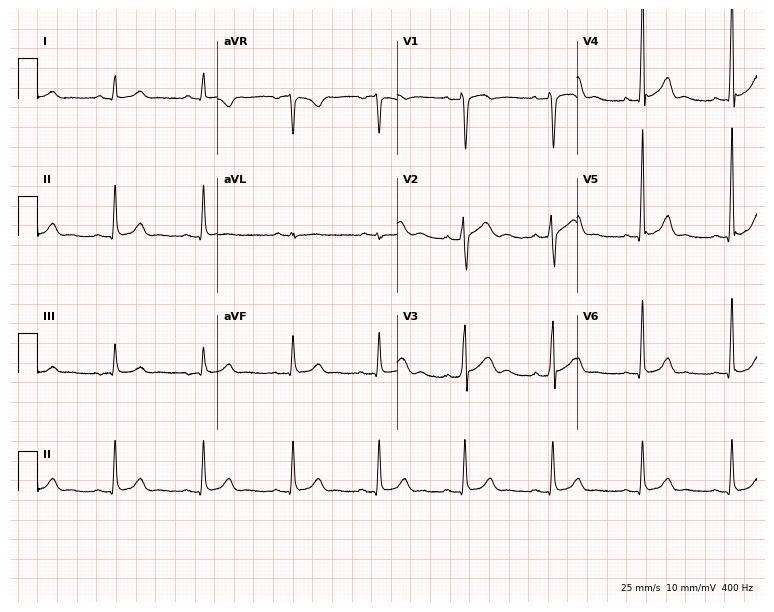
12-lead ECG from a 31-year-old man (7.3-second recording at 400 Hz). No first-degree AV block, right bundle branch block, left bundle branch block, sinus bradycardia, atrial fibrillation or sinus tachycardia recorded for this tracing. Other findings, if any, are not listed.